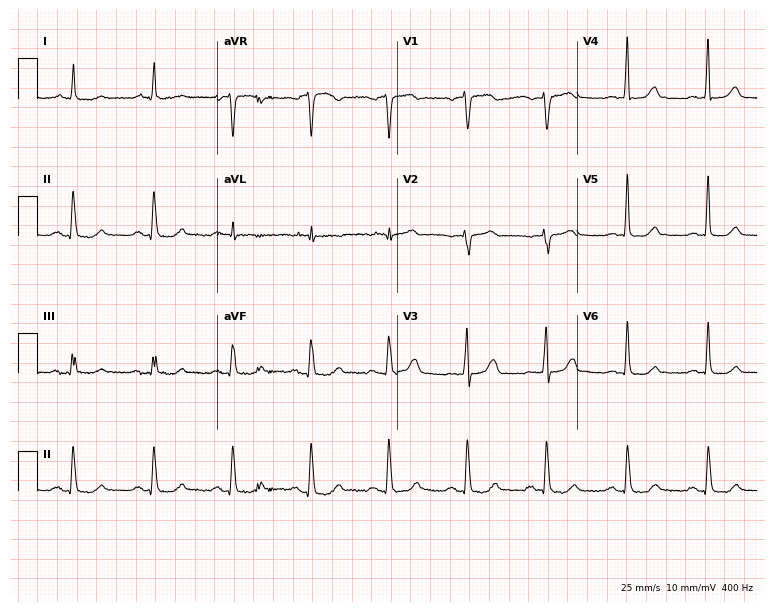
12-lead ECG from a 75-year-old female. Recorded interpretation: within normal limits.